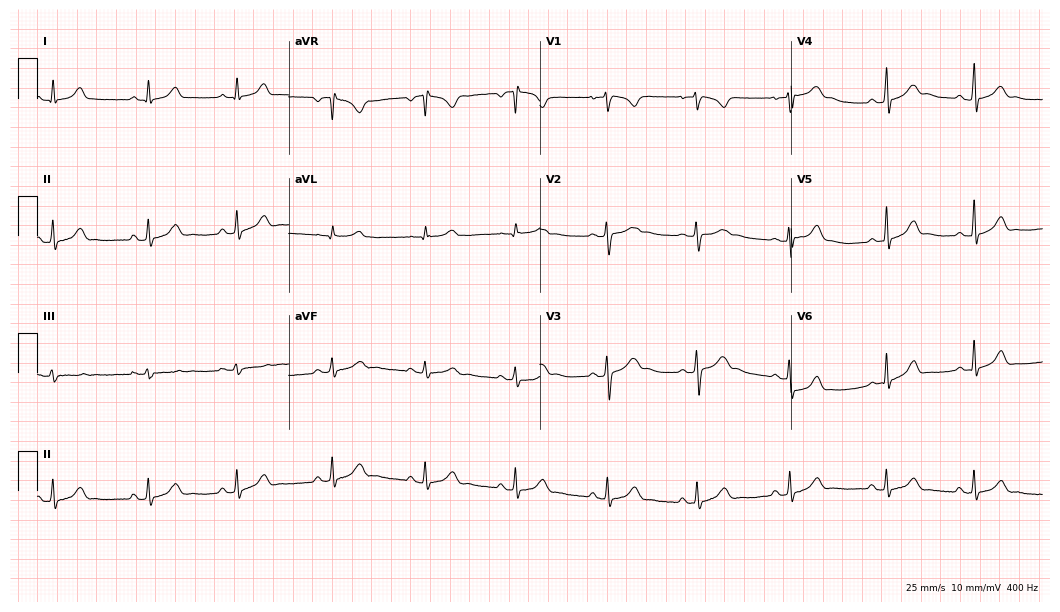
12-lead ECG from a 22-year-old female. Screened for six findings — first-degree AV block, right bundle branch block (RBBB), left bundle branch block (LBBB), sinus bradycardia, atrial fibrillation (AF), sinus tachycardia — none is recorded.